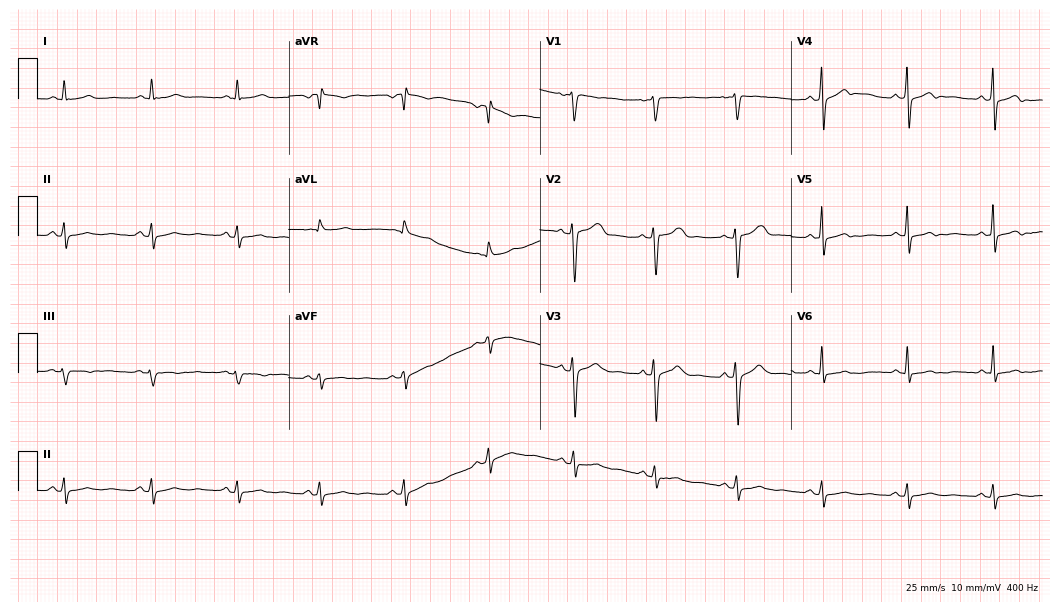
Resting 12-lead electrocardiogram (10.2-second recording at 400 Hz). Patient: a female, 36 years old. None of these six findings is recorded: first-degree AV block, right bundle branch block, left bundle branch block, sinus bradycardia, atrial fibrillation, sinus tachycardia. Findings outside these six are not listed.